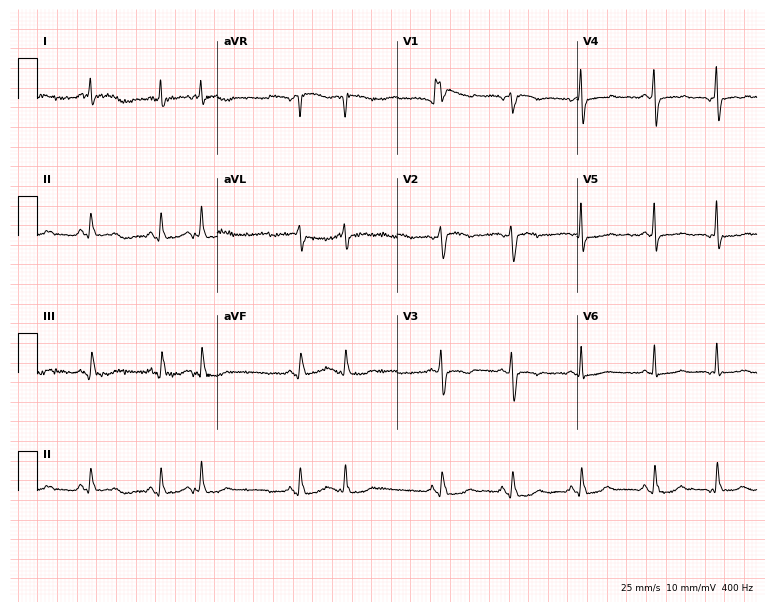
ECG (7.3-second recording at 400 Hz) — a female, 84 years old. Screened for six findings — first-degree AV block, right bundle branch block (RBBB), left bundle branch block (LBBB), sinus bradycardia, atrial fibrillation (AF), sinus tachycardia — none is recorded. Other findings, if any, are not listed.